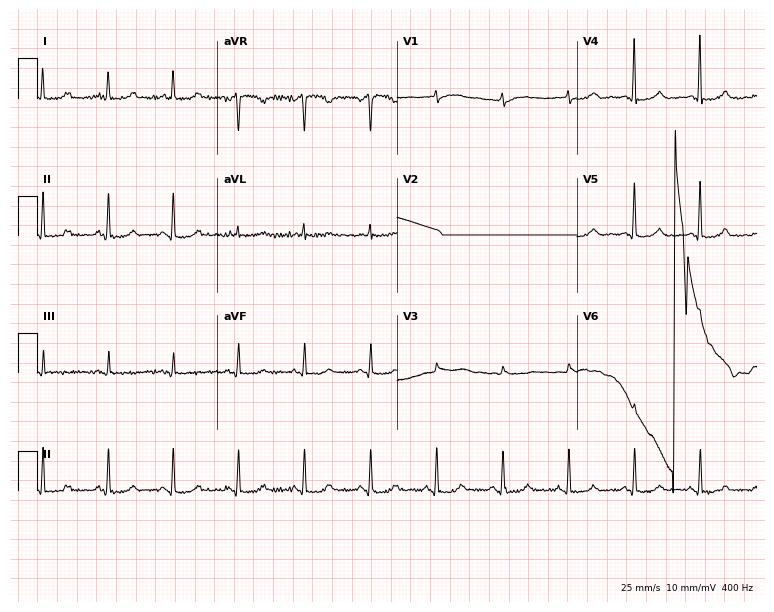
Electrocardiogram (7.3-second recording at 400 Hz), a 58-year-old female patient. Of the six screened findings (first-degree AV block, right bundle branch block (RBBB), left bundle branch block (LBBB), sinus bradycardia, atrial fibrillation (AF), sinus tachycardia), none is recorded.